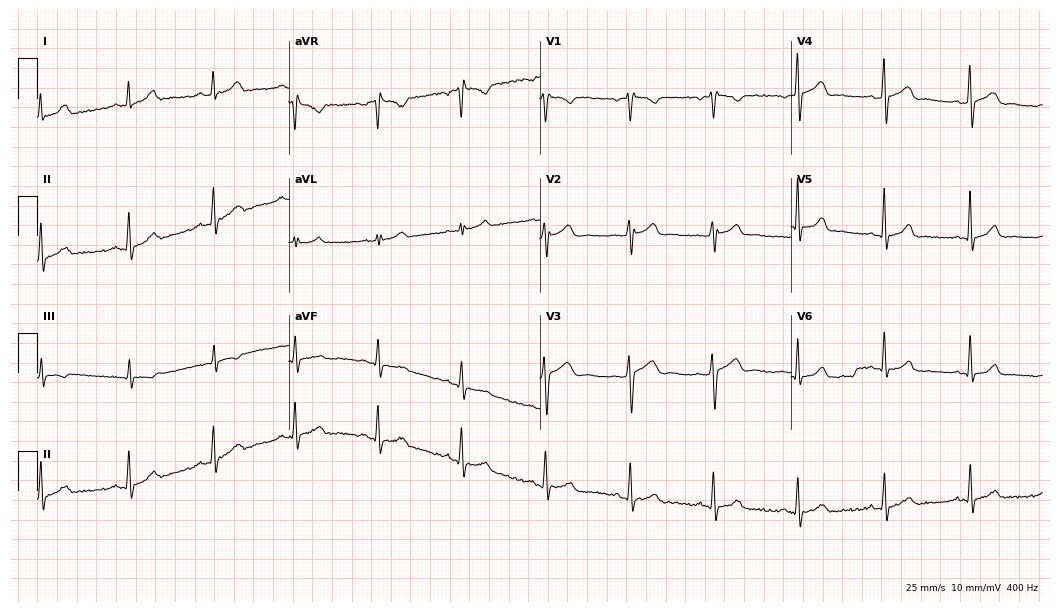
Standard 12-lead ECG recorded from a female, 37 years old (10.2-second recording at 400 Hz). Read as a normal ECG.